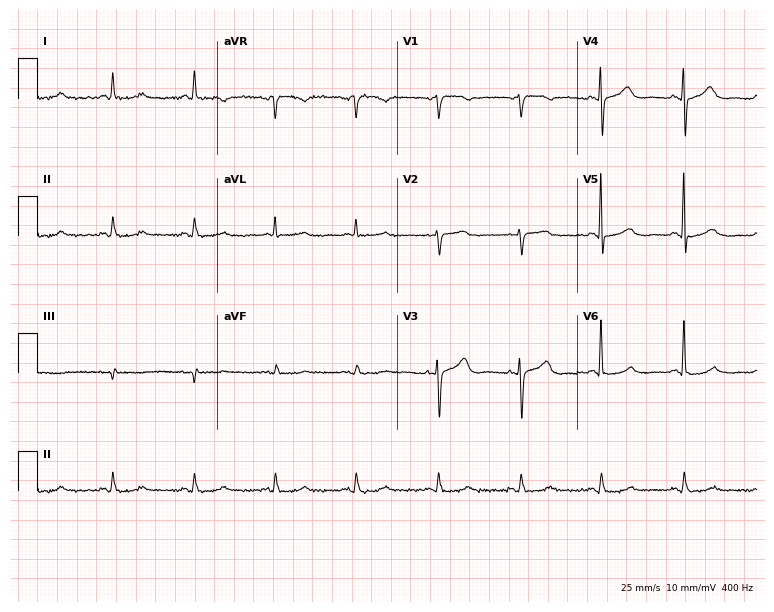
Resting 12-lead electrocardiogram. Patient: a woman, 78 years old. None of these six findings is recorded: first-degree AV block, right bundle branch block, left bundle branch block, sinus bradycardia, atrial fibrillation, sinus tachycardia. Other findings, if any, are not listed.